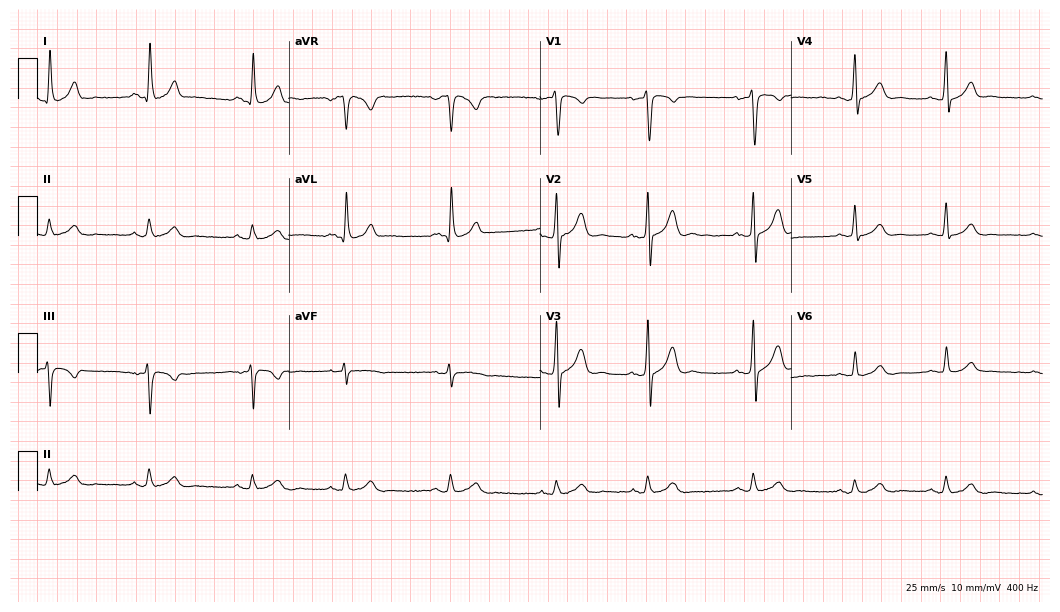
ECG (10.2-second recording at 400 Hz) — a man, 34 years old. Labelled as a normal ECG.